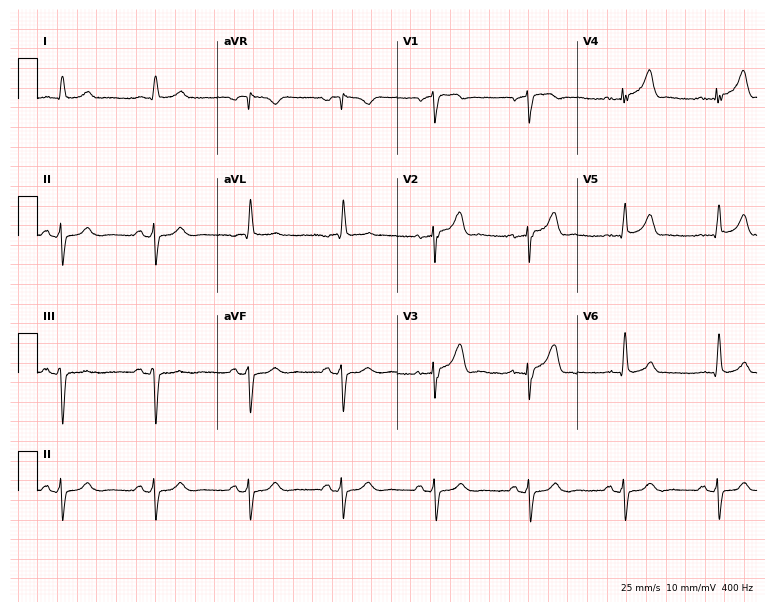
12-lead ECG (7.3-second recording at 400 Hz) from a male, 77 years old. Screened for six findings — first-degree AV block, right bundle branch block (RBBB), left bundle branch block (LBBB), sinus bradycardia, atrial fibrillation (AF), sinus tachycardia — none is recorded.